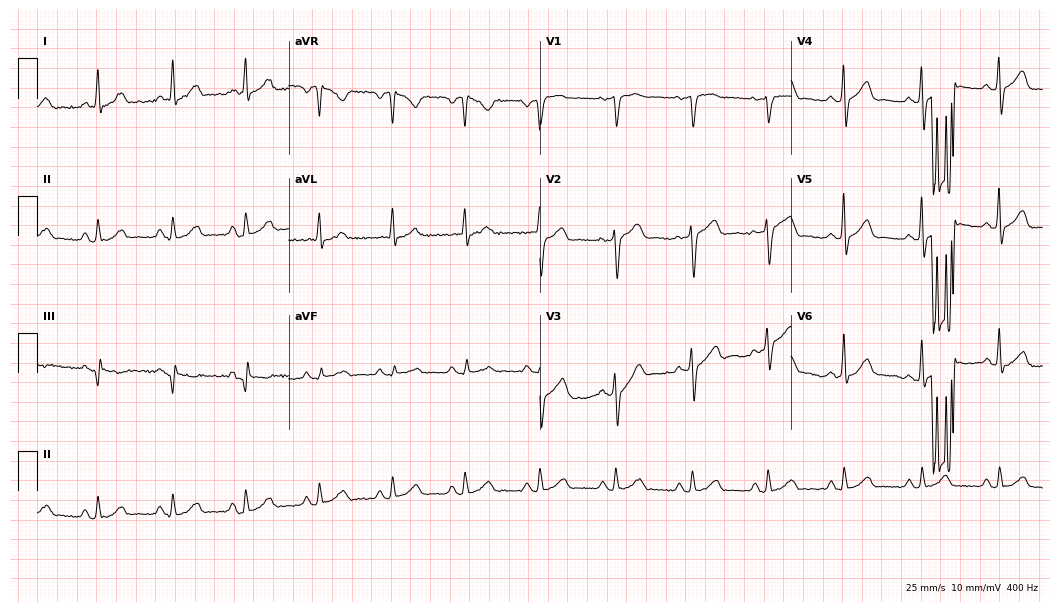
Resting 12-lead electrocardiogram. Patient: a 41-year-old man. None of these six findings is recorded: first-degree AV block, right bundle branch block (RBBB), left bundle branch block (LBBB), sinus bradycardia, atrial fibrillation (AF), sinus tachycardia.